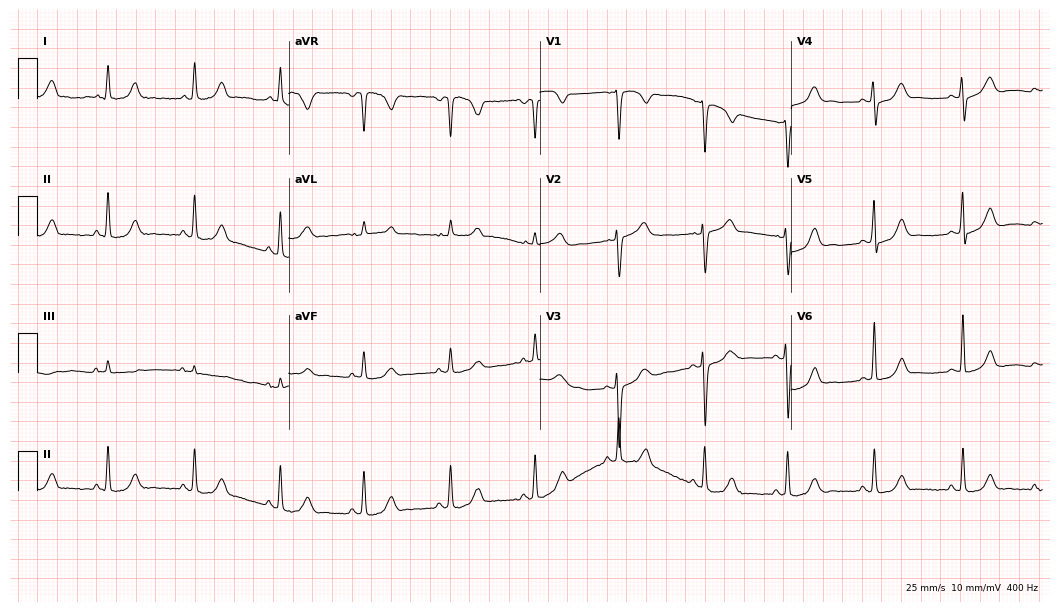
Resting 12-lead electrocardiogram. Patient: a female, 44 years old. Read as a normal ECG.